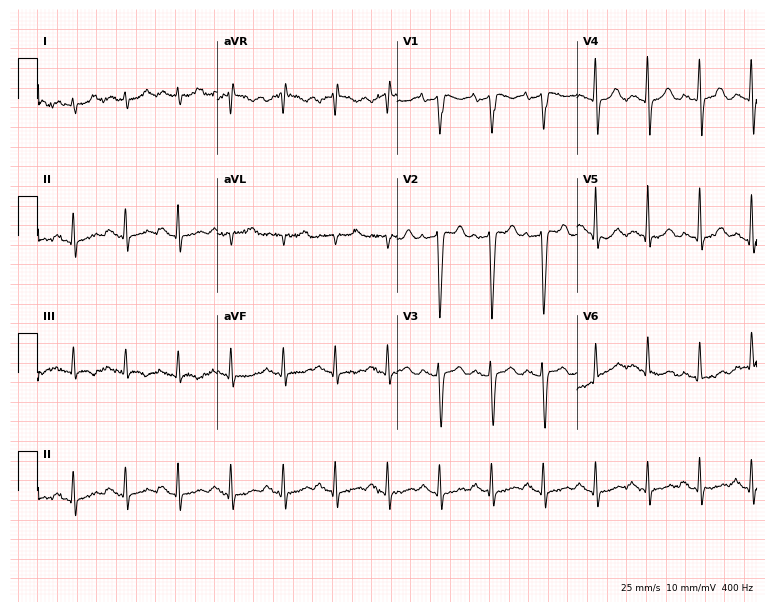
12-lead ECG from a 77-year-old woman. Findings include sinus tachycardia (a sinus rate of 100 beats per minute or more).